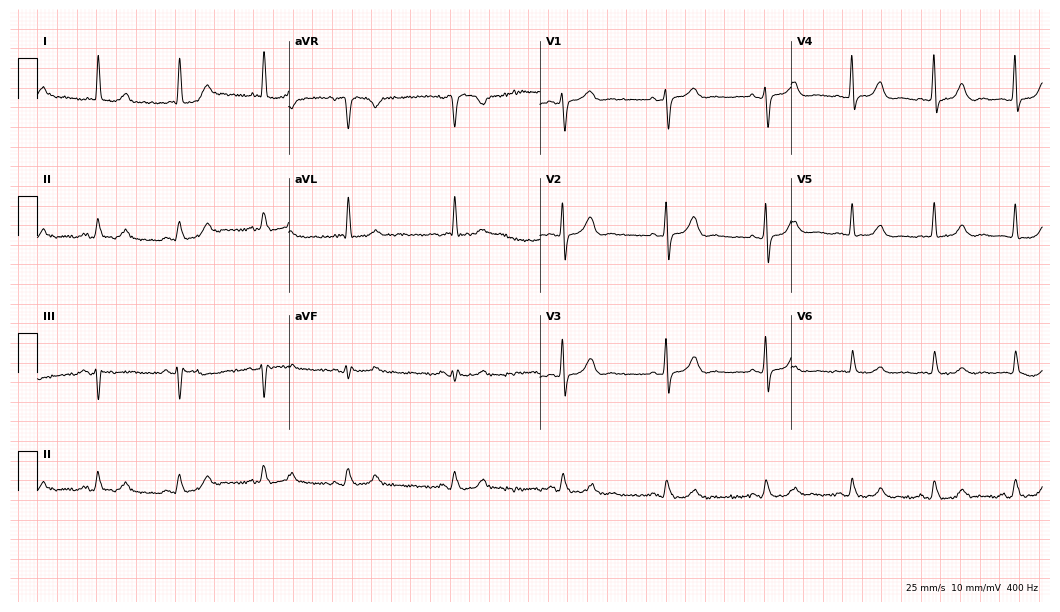
12-lead ECG from a female, 78 years old. Labelled as a normal ECG.